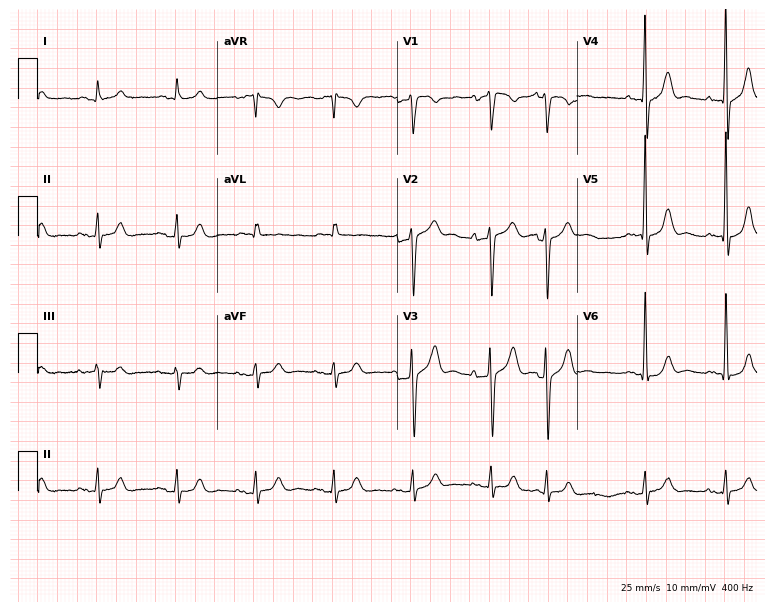
Electrocardiogram, a man, 81 years old. Of the six screened findings (first-degree AV block, right bundle branch block (RBBB), left bundle branch block (LBBB), sinus bradycardia, atrial fibrillation (AF), sinus tachycardia), none is recorded.